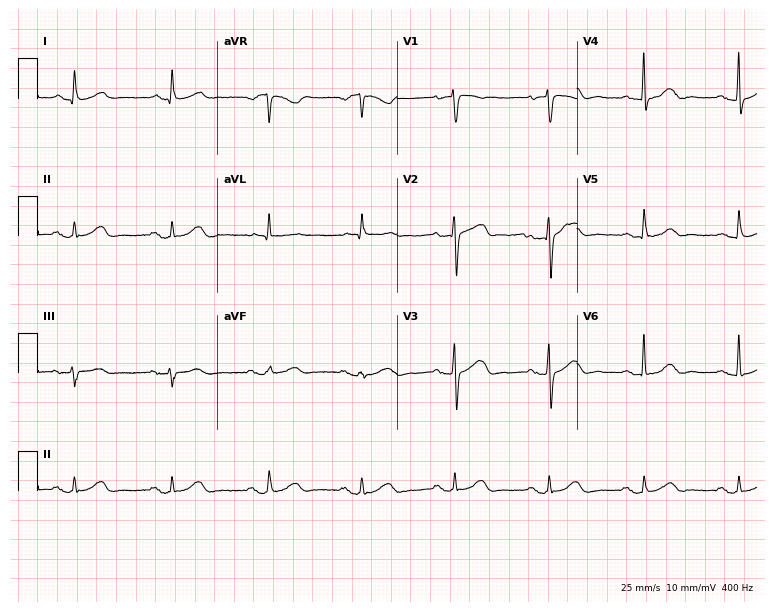
Resting 12-lead electrocardiogram (7.3-second recording at 400 Hz). Patient: a male, 63 years old. Read as a normal ECG.